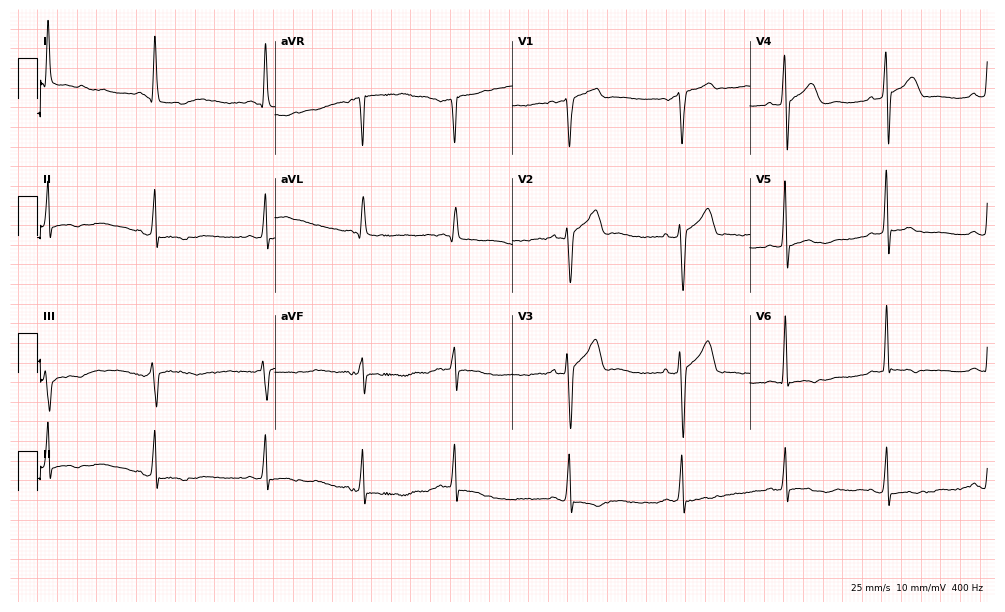
ECG (9.7-second recording at 400 Hz) — a male, 47 years old. Screened for six findings — first-degree AV block, right bundle branch block, left bundle branch block, sinus bradycardia, atrial fibrillation, sinus tachycardia — none is recorded. Other findings, if any, are not listed.